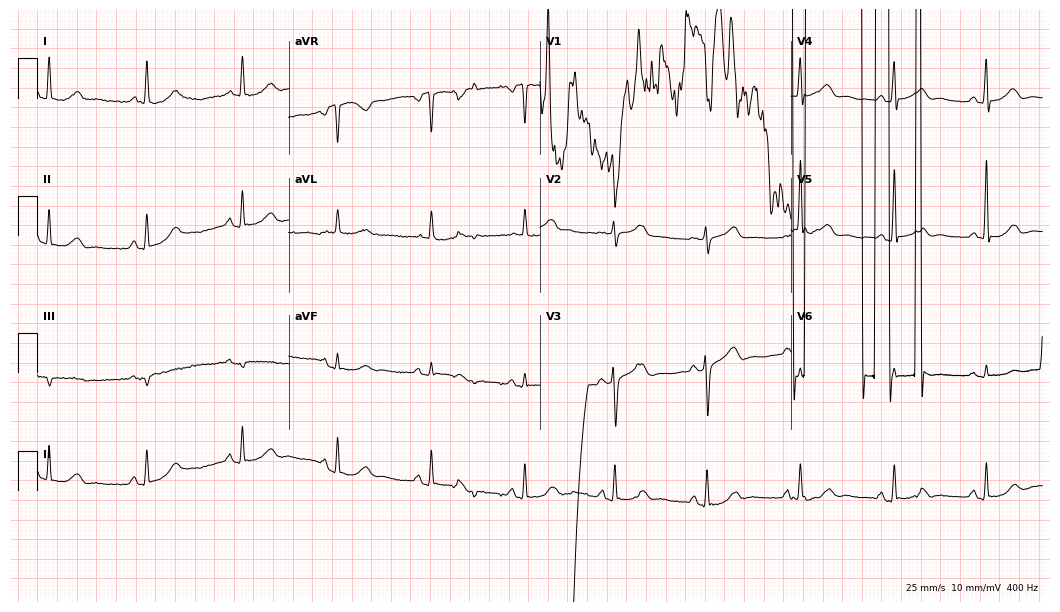
Standard 12-lead ECG recorded from a 60-year-old female patient (10.2-second recording at 400 Hz). None of these six findings is recorded: first-degree AV block, right bundle branch block, left bundle branch block, sinus bradycardia, atrial fibrillation, sinus tachycardia. Only these six findings were labelled.